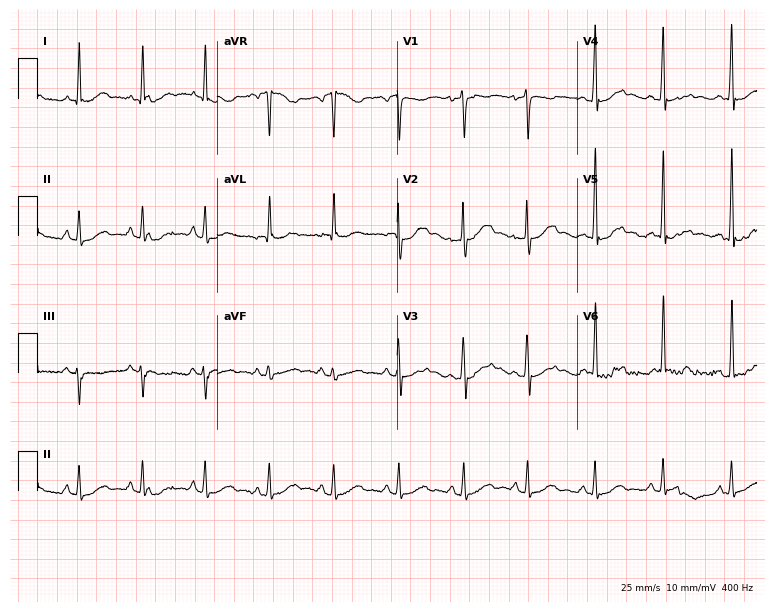
Electrocardiogram, a female, 40 years old. Overall reading on record: normal ECG.